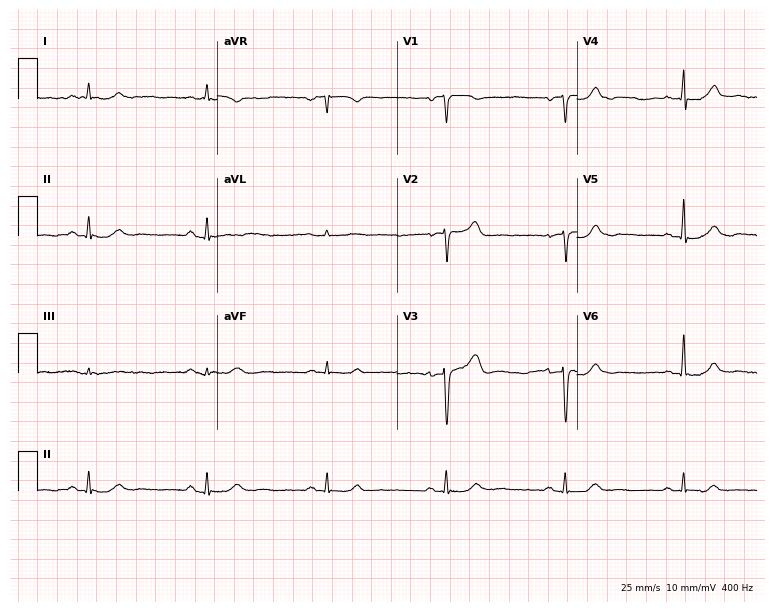
12-lead ECG (7.3-second recording at 400 Hz) from an 80-year-old man. Findings include sinus bradycardia (a sinus rate of 50 beats per minute or less).